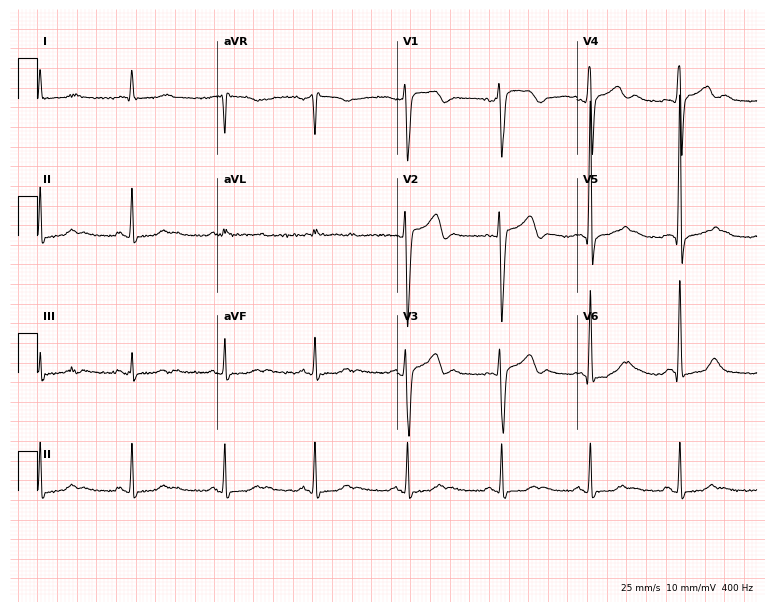
12-lead ECG (7.3-second recording at 400 Hz) from a 31-year-old male. Screened for six findings — first-degree AV block, right bundle branch block, left bundle branch block, sinus bradycardia, atrial fibrillation, sinus tachycardia — none is recorded. Only these six findings were labelled.